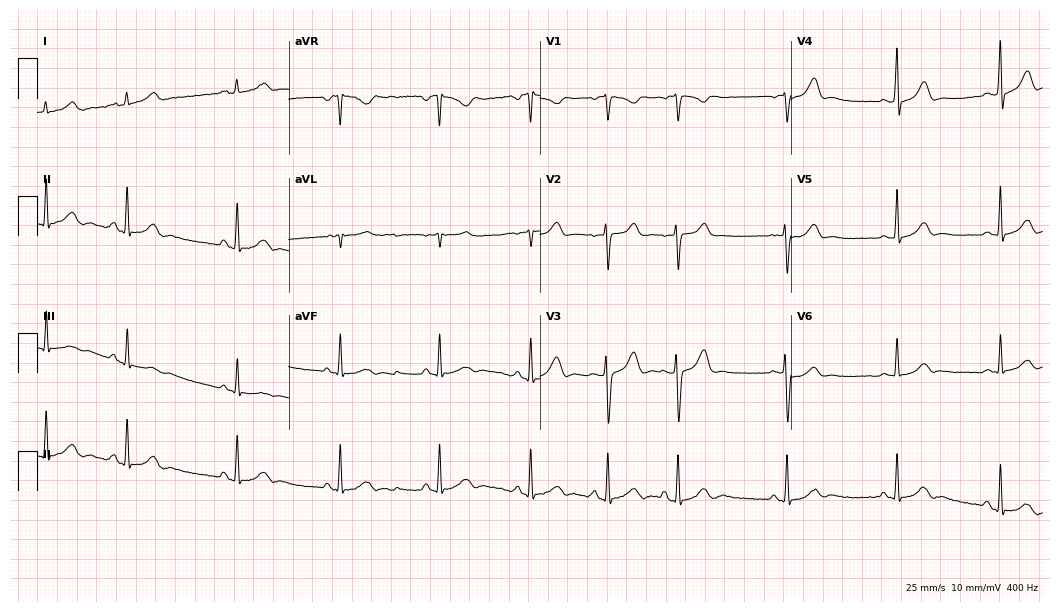
Standard 12-lead ECG recorded from a female, 22 years old (10.2-second recording at 400 Hz). Read as a normal ECG.